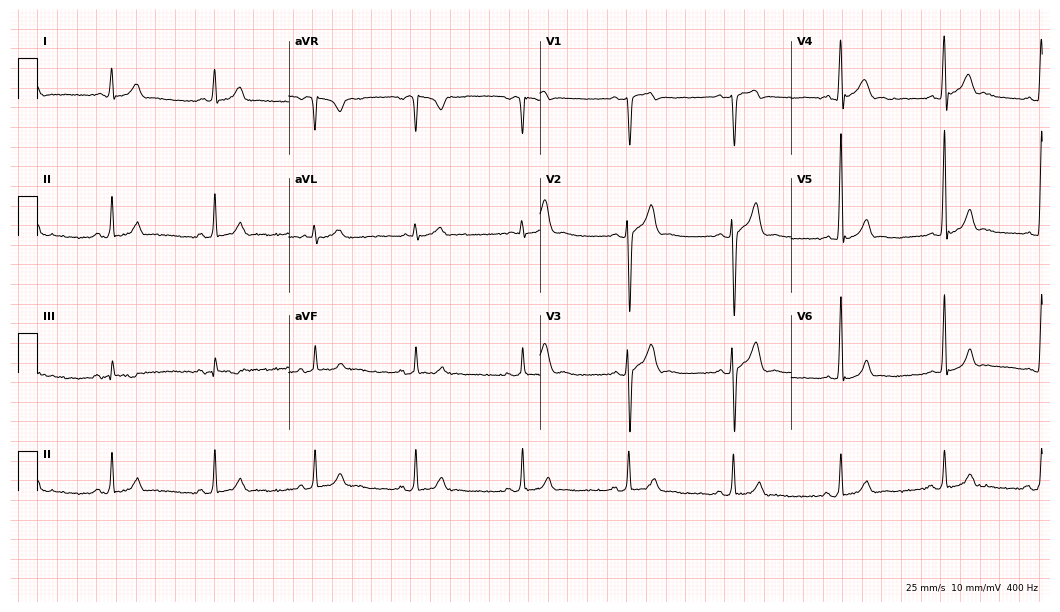
12-lead ECG from a 20-year-old male patient (10.2-second recording at 400 Hz). No first-degree AV block, right bundle branch block (RBBB), left bundle branch block (LBBB), sinus bradycardia, atrial fibrillation (AF) or sinus tachycardia recorded for this tracing.